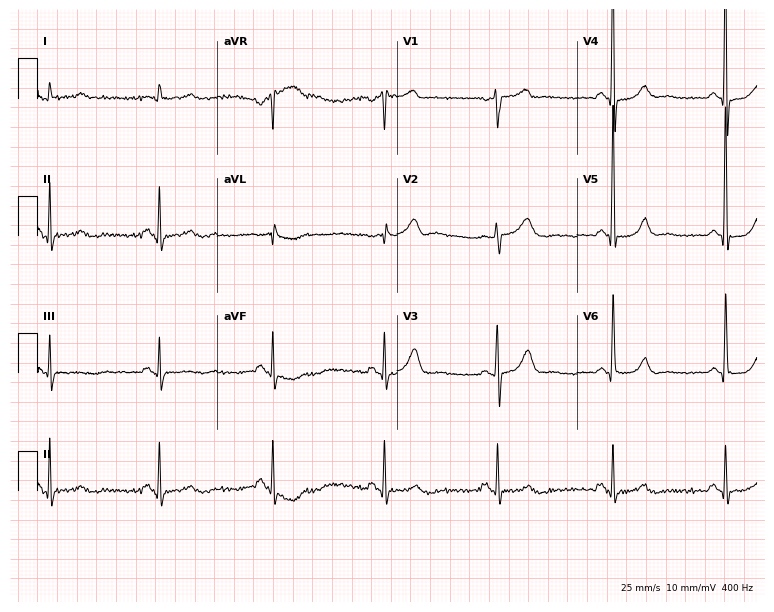
Electrocardiogram (7.3-second recording at 400 Hz), a male patient, 57 years old. Of the six screened findings (first-degree AV block, right bundle branch block (RBBB), left bundle branch block (LBBB), sinus bradycardia, atrial fibrillation (AF), sinus tachycardia), none is recorded.